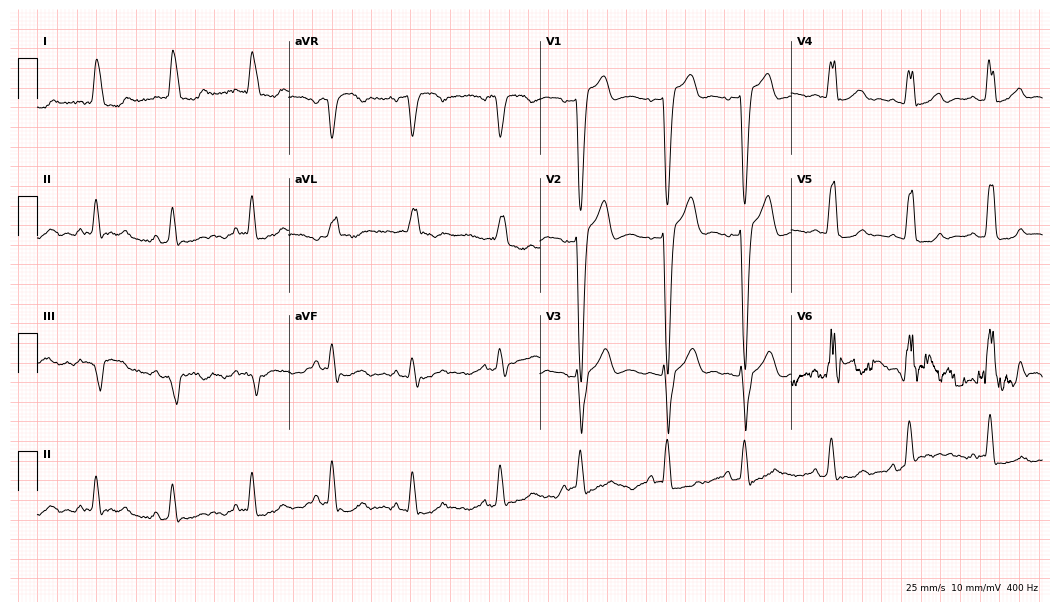
12-lead ECG from an 85-year-old female patient. Findings include left bundle branch block.